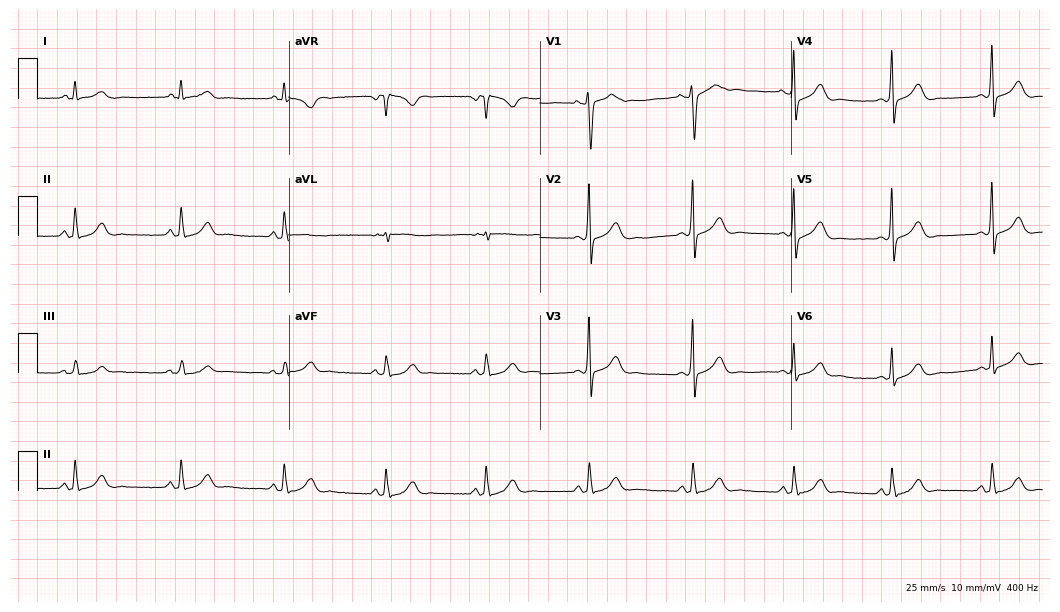
12-lead ECG from a 28-year-old female patient. Recorded interpretation: within normal limits.